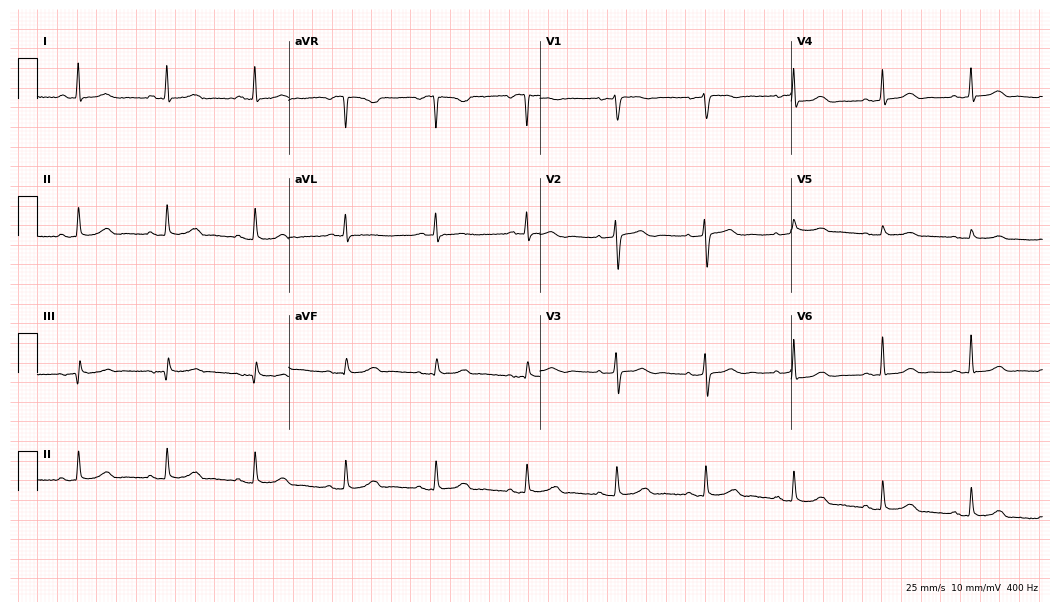
Electrocardiogram, a 63-year-old woman. Of the six screened findings (first-degree AV block, right bundle branch block (RBBB), left bundle branch block (LBBB), sinus bradycardia, atrial fibrillation (AF), sinus tachycardia), none is recorded.